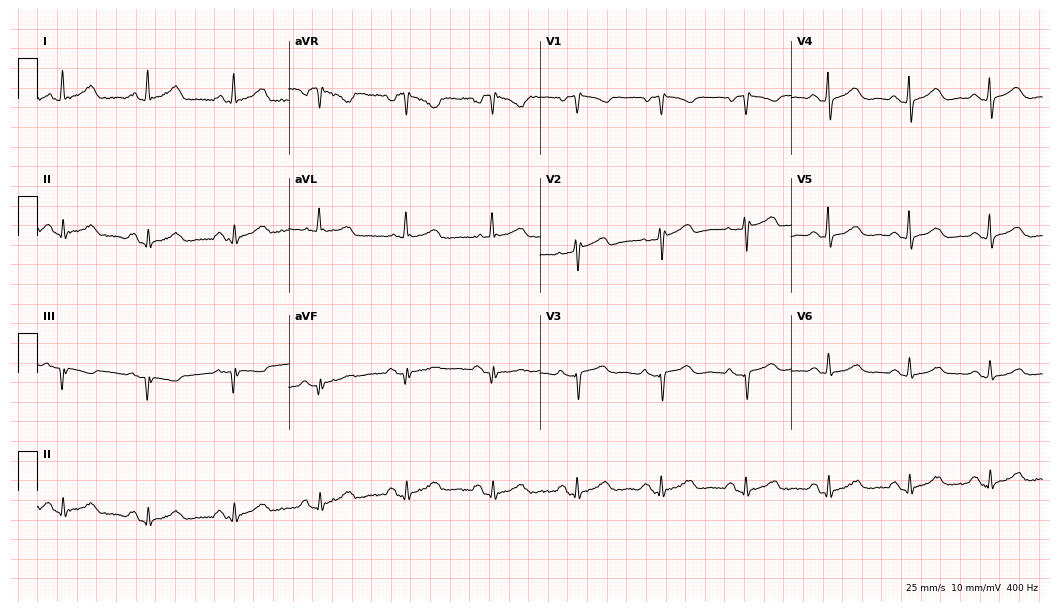
Standard 12-lead ECG recorded from a 59-year-old female (10.2-second recording at 400 Hz). None of these six findings is recorded: first-degree AV block, right bundle branch block, left bundle branch block, sinus bradycardia, atrial fibrillation, sinus tachycardia. Only these six findings were labelled.